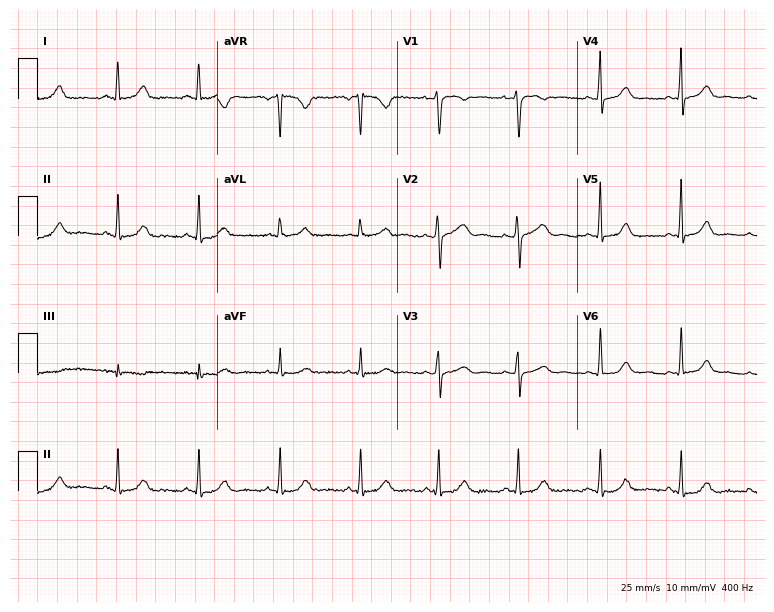
12-lead ECG from a 34-year-old female. Recorded interpretation: within normal limits.